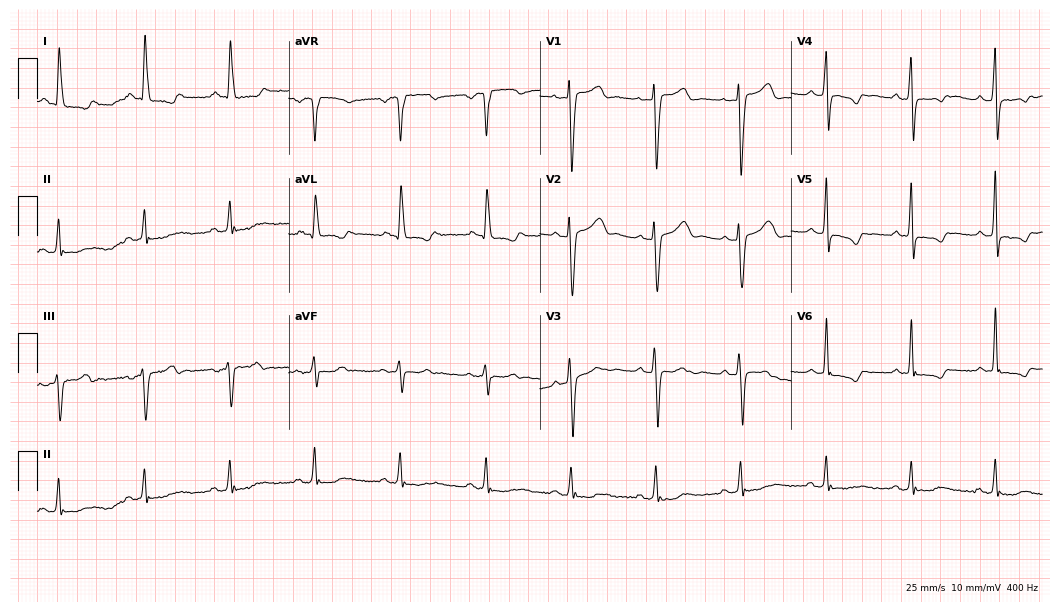
Standard 12-lead ECG recorded from a female patient, 79 years old (10.2-second recording at 400 Hz). None of these six findings is recorded: first-degree AV block, right bundle branch block, left bundle branch block, sinus bradycardia, atrial fibrillation, sinus tachycardia. Only these six findings were labelled.